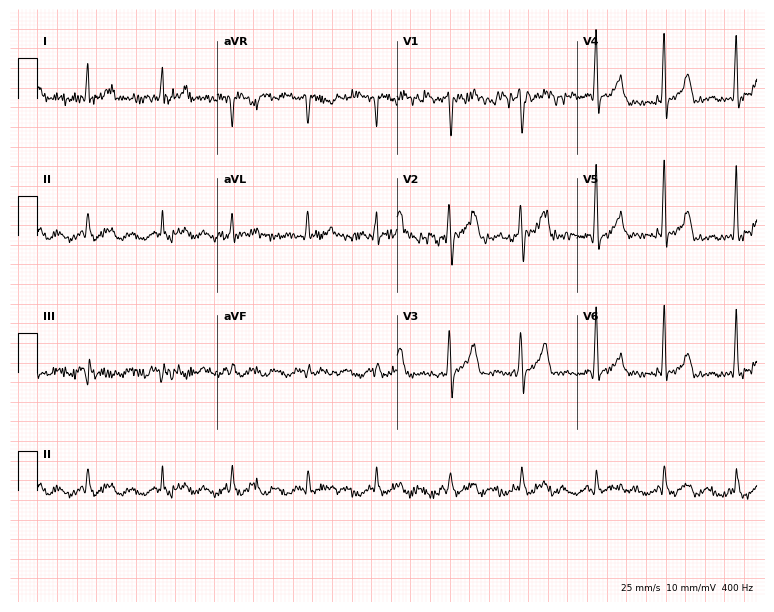
Standard 12-lead ECG recorded from a man, 71 years old. None of these six findings is recorded: first-degree AV block, right bundle branch block (RBBB), left bundle branch block (LBBB), sinus bradycardia, atrial fibrillation (AF), sinus tachycardia. Findings outside these six are not listed.